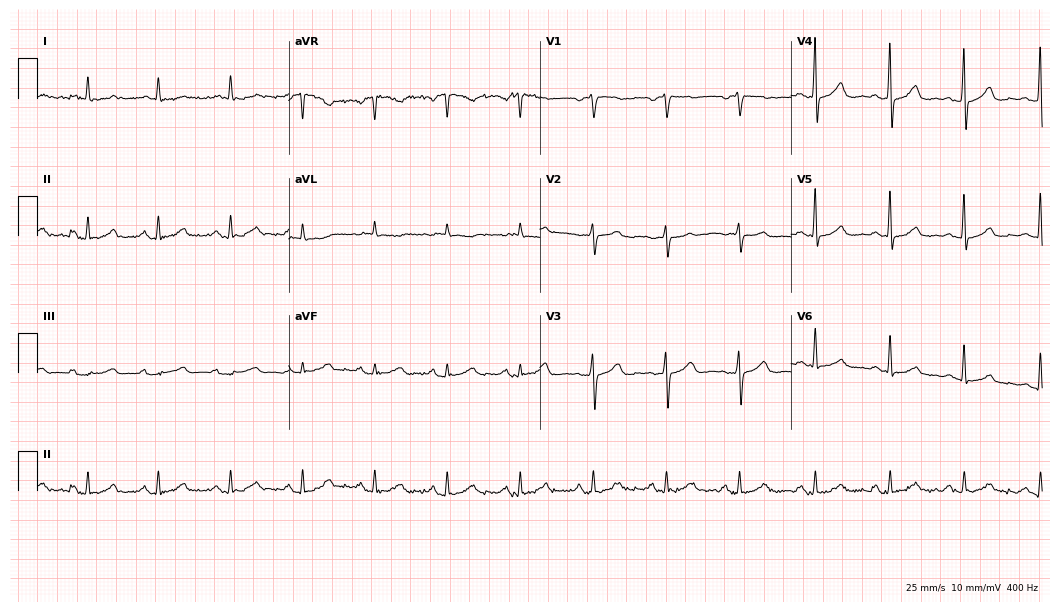
Electrocardiogram (10.2-second recording at 400 Hz), a female, 74 years old. Overall reading on record: normal ECG.